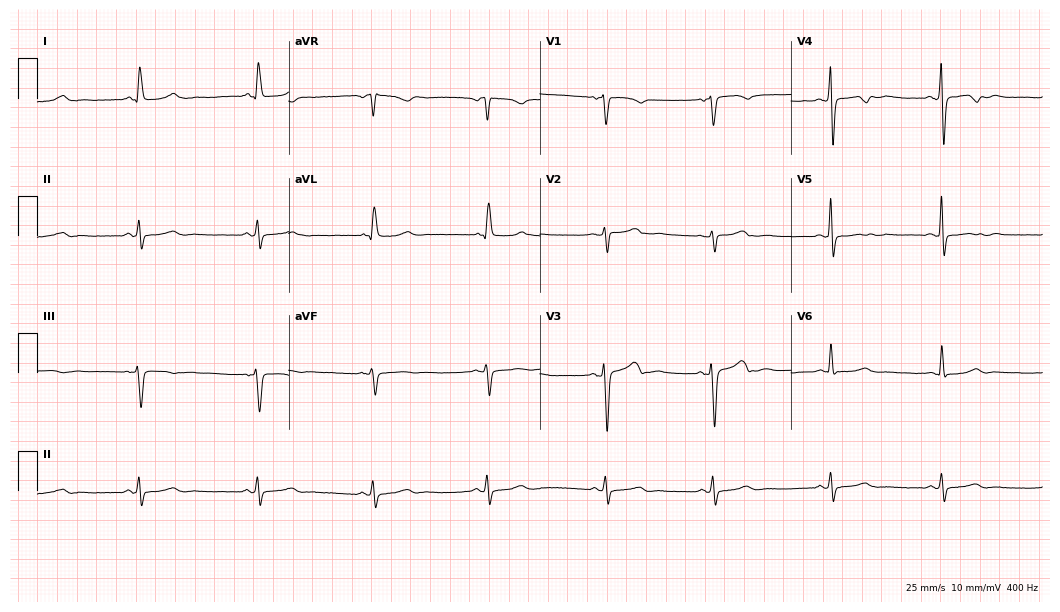
Electrocardiogram (10.2-second recording at 400 Hz), a female patient, 54 years old. Overall reading on record: normal ECG.